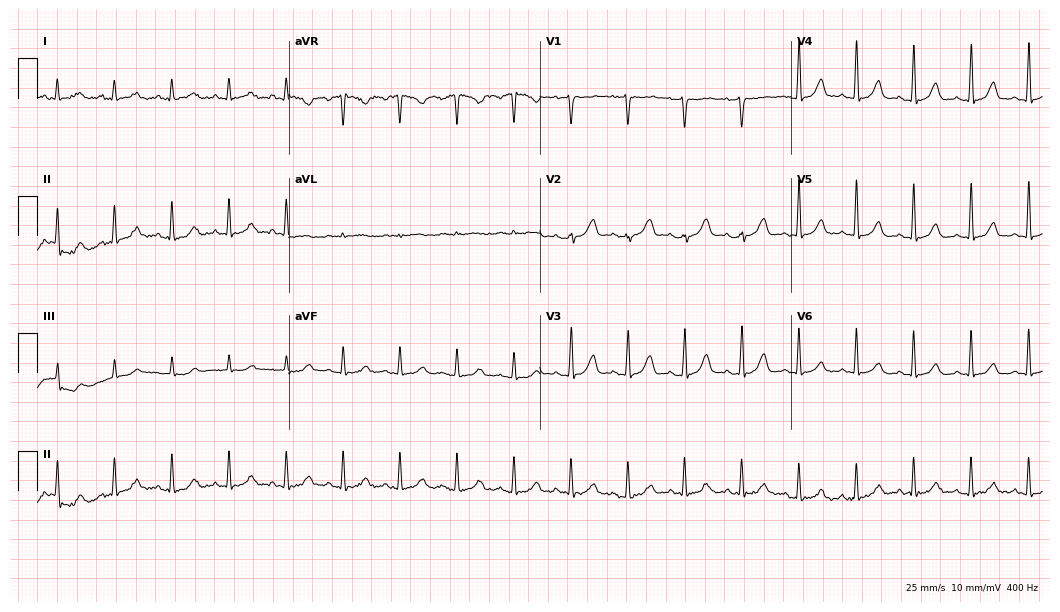
ECG — a female, 45 years old. Screened for six findings — first-degree AV block, right bundle branch block, left bundle branch block, sinus bradycardia, atrial fibrillation, sinus tachycardia — none is recorded.